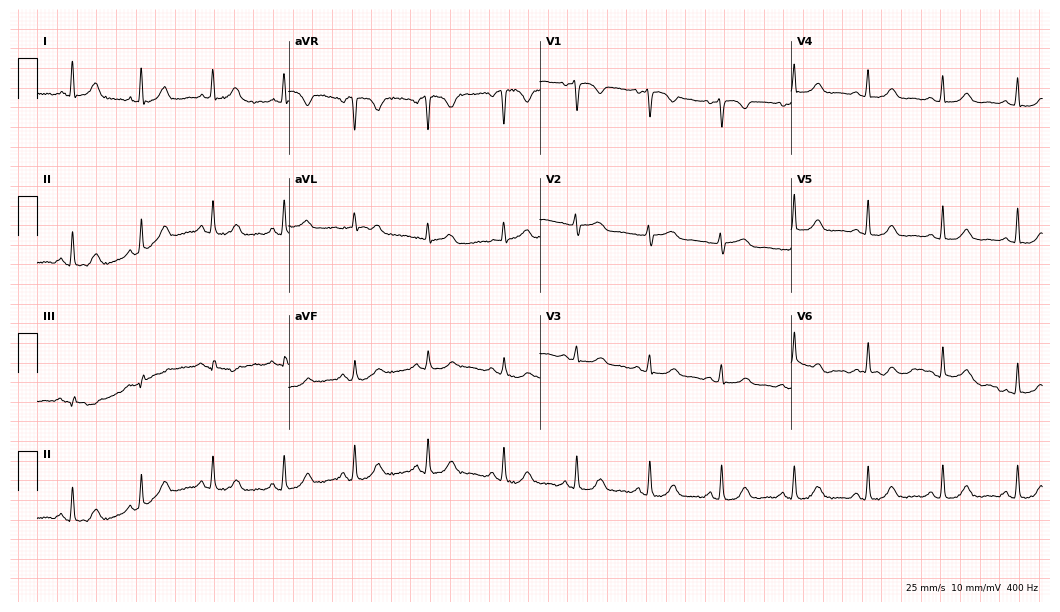
ECG (10.2-second recording at 400 Hz) — a 49-year-old woman. Labelled as a normal ECG.